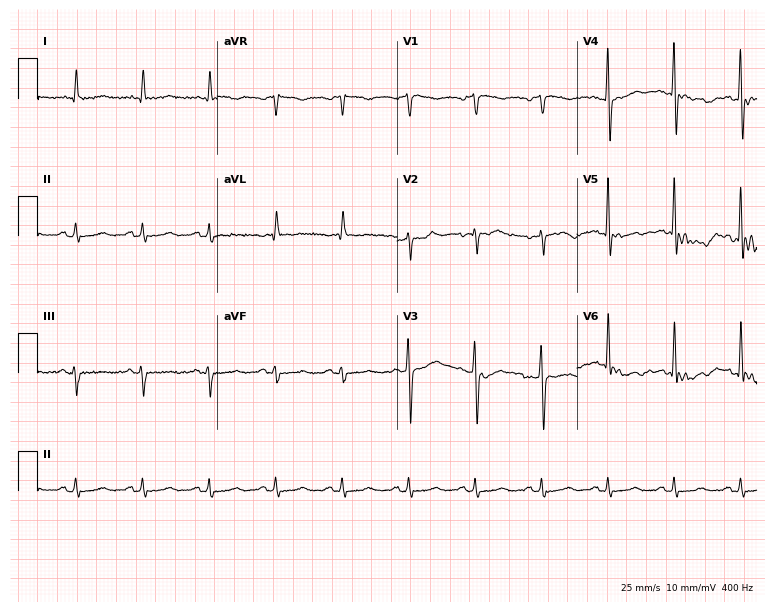
12-lead ECG (7.3-second recording at 400 Hz) from a 78-year-old male. Screened for six findings — first-degree AV block, right bundle branch block, left bundle branch block, sinus bradycardia, atrial fibrillation, sinus tachycardia — none is recorded. Findings outside these six are not listed.